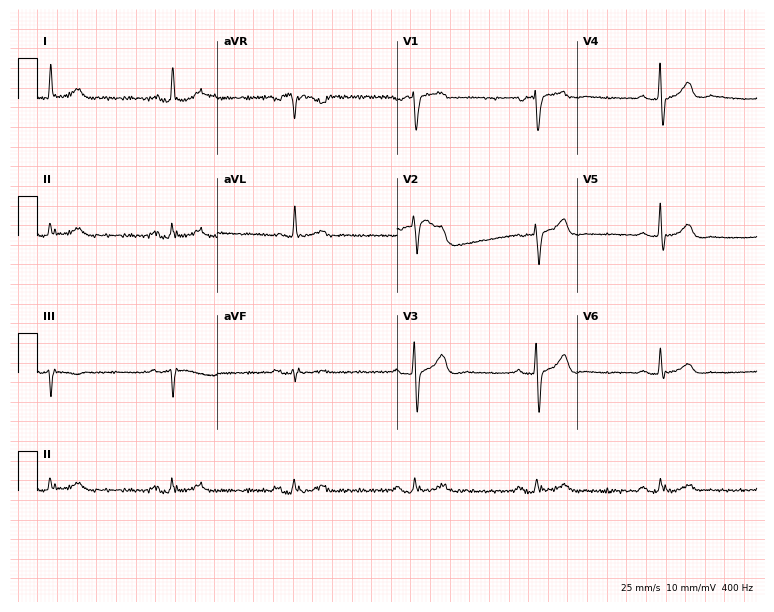
Resting 12-lead electrocardiogram. Patient: a male, 69 years old. The tracing shows sinus bradycardia (a sinus rate of 50 beats per minute or less).